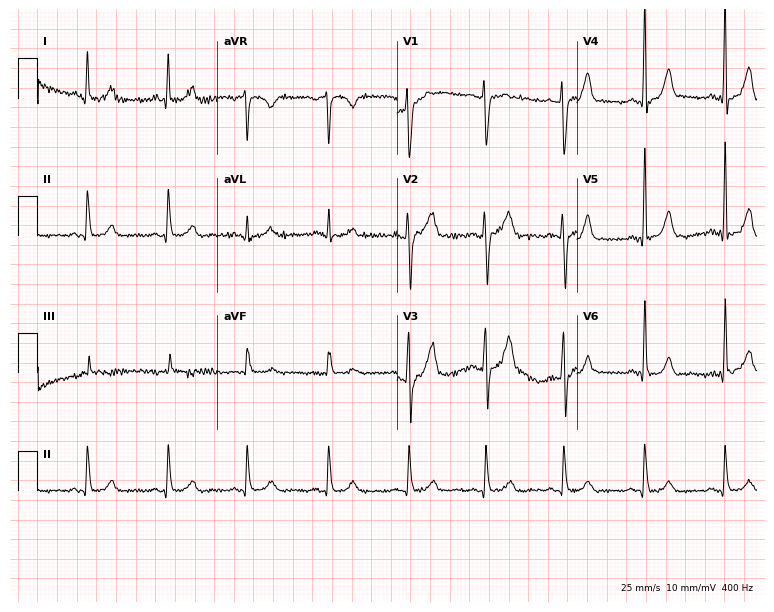
12-lead ECG from a 40-year-old man. No first-degree AV block, right bundle branch block, left bundle branch block, sinus bradycardia, atrial fibrillation or sinus tachycardia recorded for this tracing.